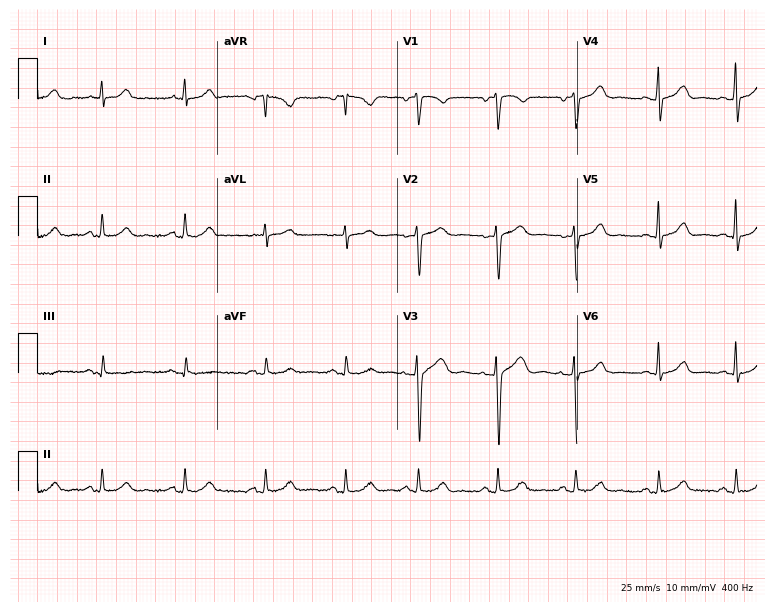
ECG (7.3-second recording at 400 Hz) — a 44-year-old female patient. Labelled as a normal ECG.